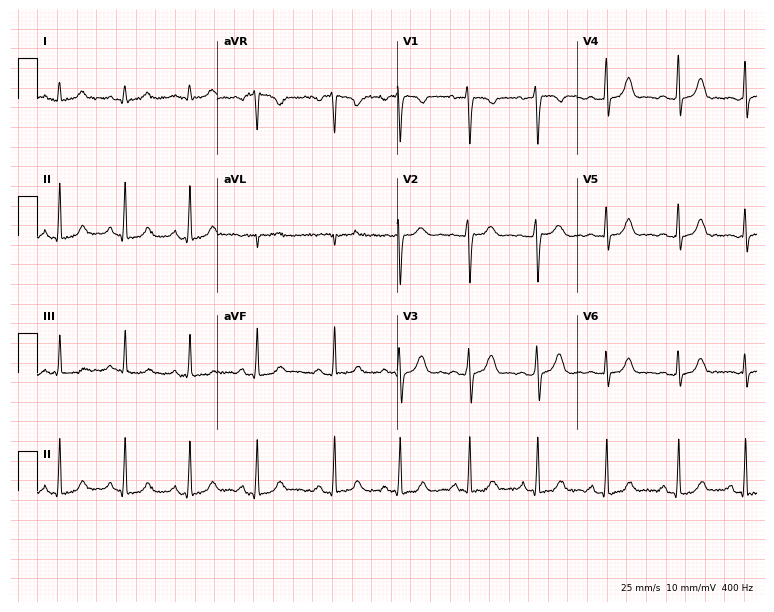
Electrocardiogram (7.3-second recording at 400 Hz), a female, 23 years old. Of the six screened findings (first-degree AV block, right bundle branch block, left bundle branch block, sinus bradycardia, atrial fibrillation, sinus tachycardia), none is recorded.